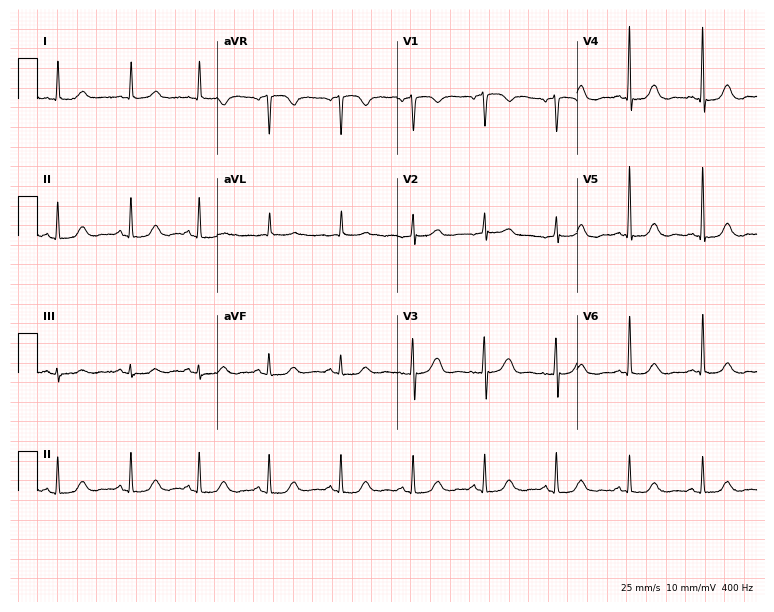
Standard 12-lead ECG recorded from a female patient, 73 years old (7.3-second recording at 400 Hz). Read as a normal ECG.